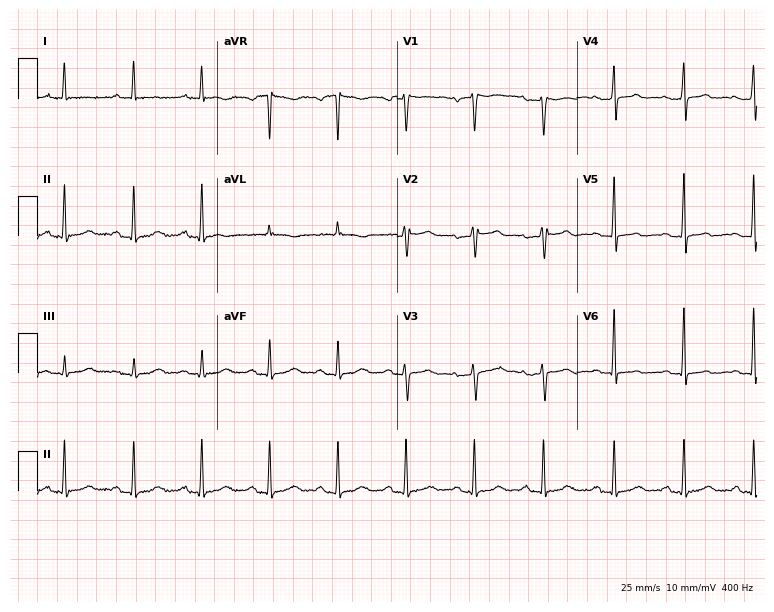
12-lead ECG from a female patient, 52 years old. Recorded interpretation: within normal limits.